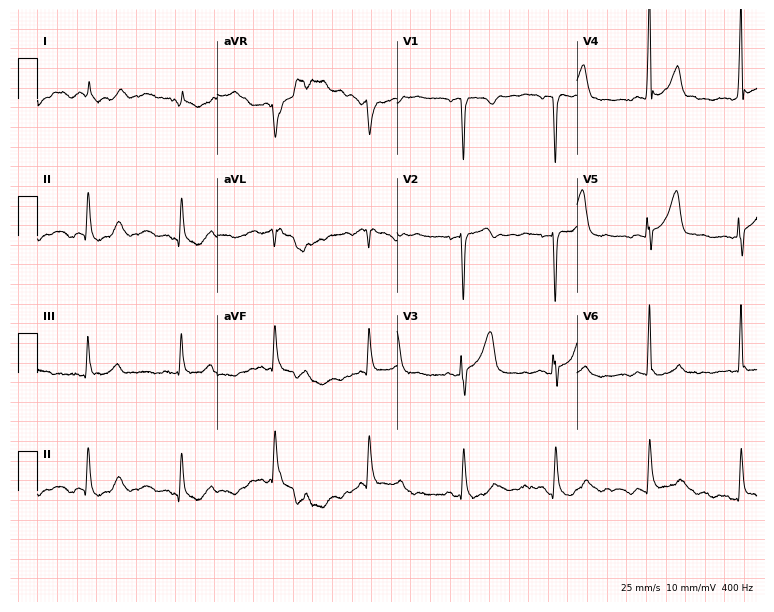
ECG (7.3-second recording at 400 Hz) — a male, 72 years old. Screened for six findings — first-degree AV block, right bundle branch block, left bundle branch block, sinus bradycardia, atrial fibrillation, sinus tachycardia — none is recorded. Only these six findings were labelled.